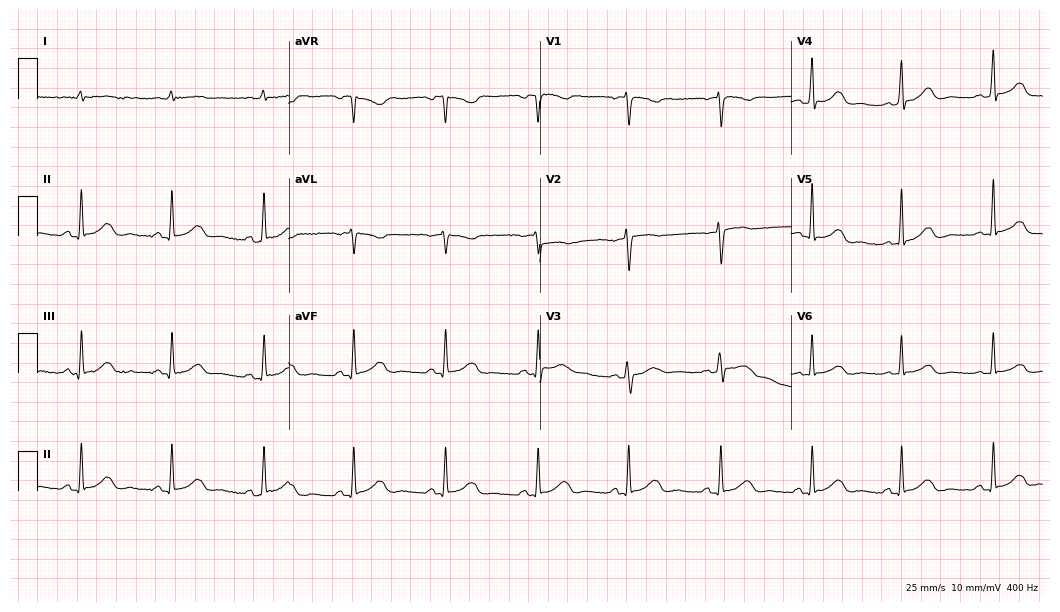
Resting 12-lead electrocardiogram (10.2-second recording at 400 Hz). Patient: a female, 51 years old. None of these six findings is recorded: first-degree AV block, right bundle branch block, left bundle branch block, sinus bradycardia, atrial fibrillation, sinus tachycardia. Other findings, if any, are not listed.